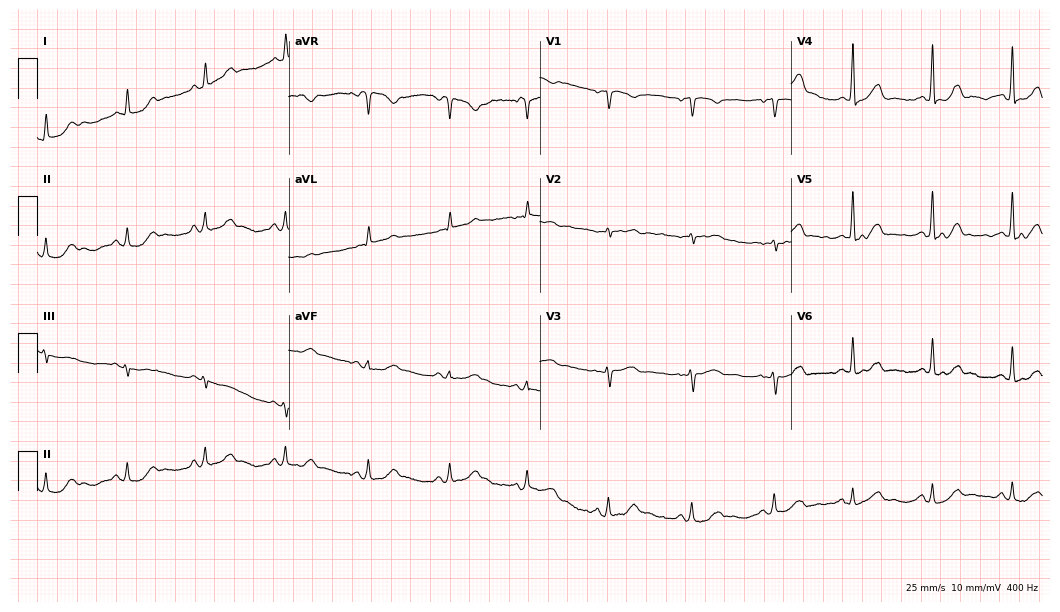
ECG — a 49-year-old female patient. Labelled as a normal ECG.